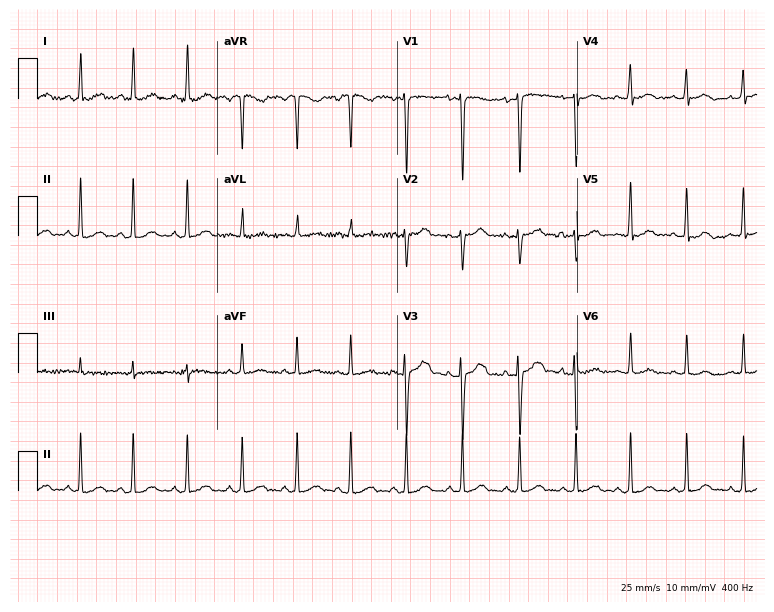
12-lead ECG from a female patient, 34 years old (7.3-second recording at 400 Hz). Shows sinus tachycardia (a sinus rate of 100 beats per minute or more).